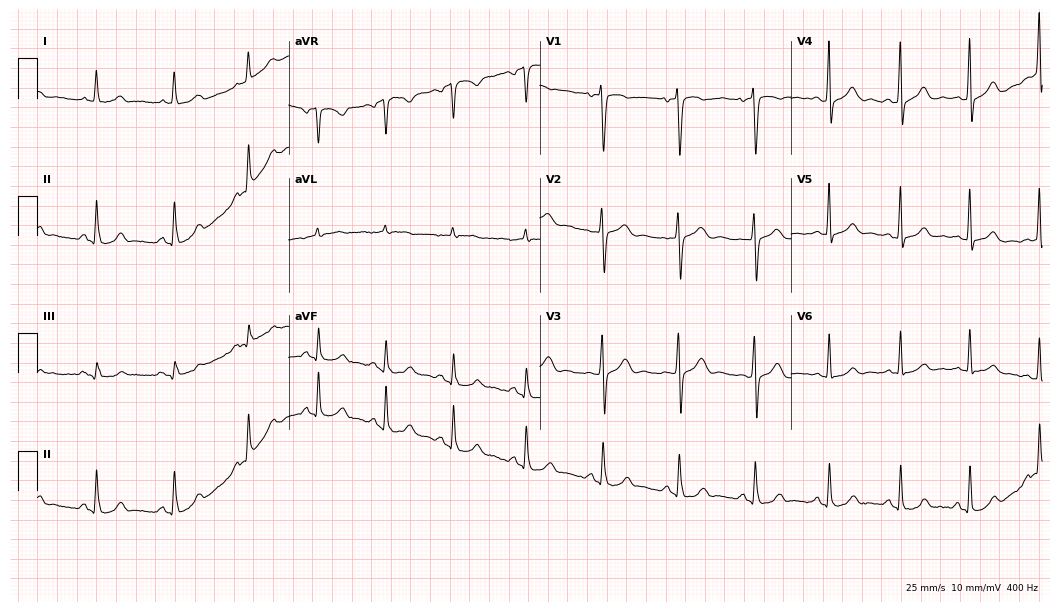
Resting 12-lead electrocardiogram (10.2-second recording at 400 Hz). Patient: a female, 18 years old. Read as a normal ECG.